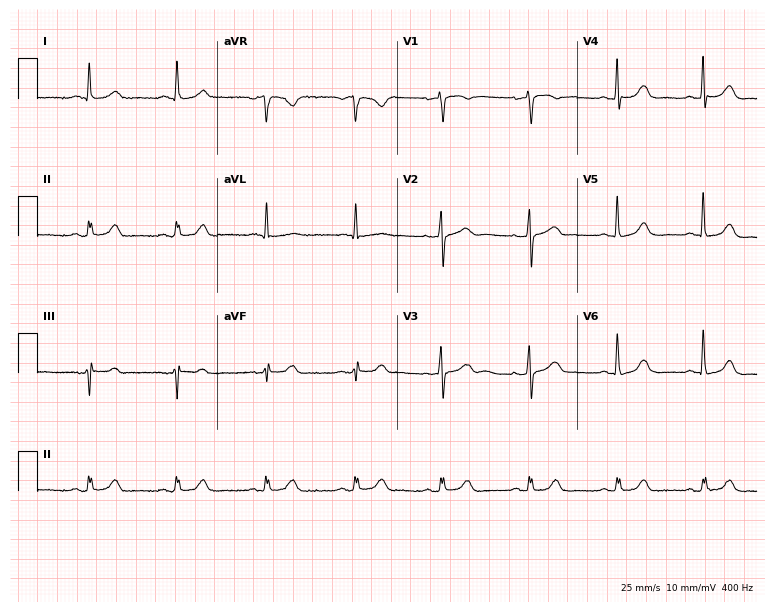
12-lead ECG from a female patient, 77 years old. Recorded interpretation: within normal limits.